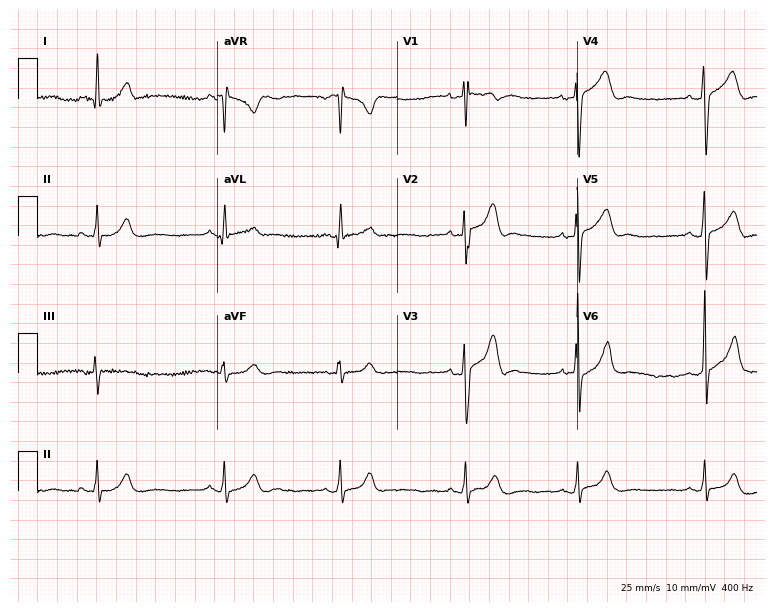
Electrocardiogram, a 30-year-old male. Interpretation includes sinus bradycardia (a sinus rate of 50 beats per minute or less).